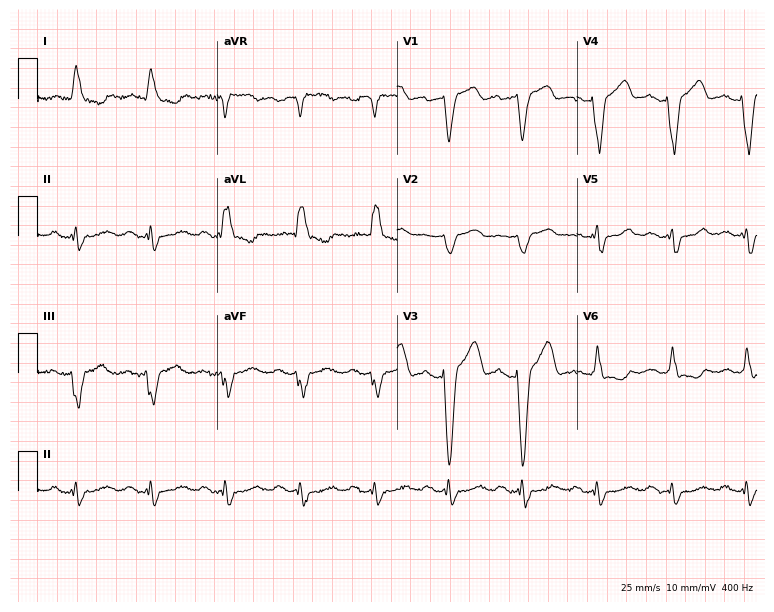
Resting 12-lead electrocardiogram. Patient: a male, 67 years old. The tracing shows left bundle branch block (LBBB).